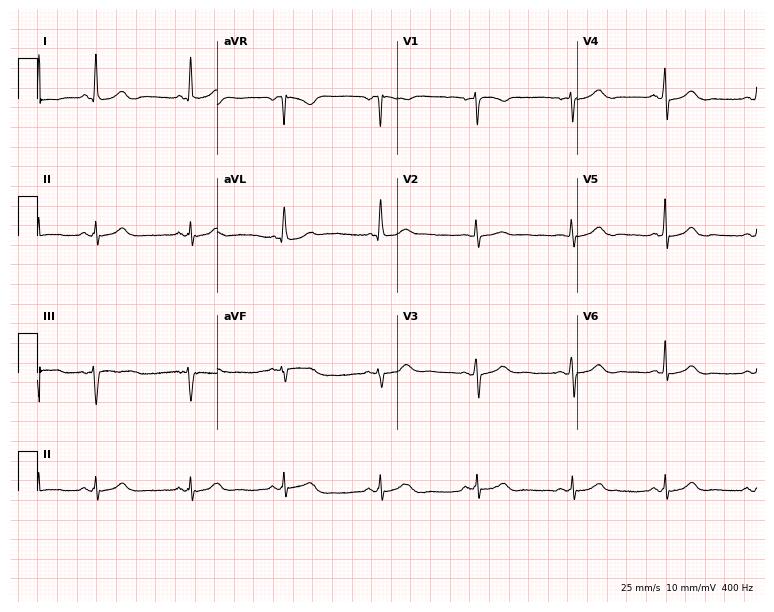
12-lead ECG from a 55-year-old female. Recorded interpretation: within normal limits.